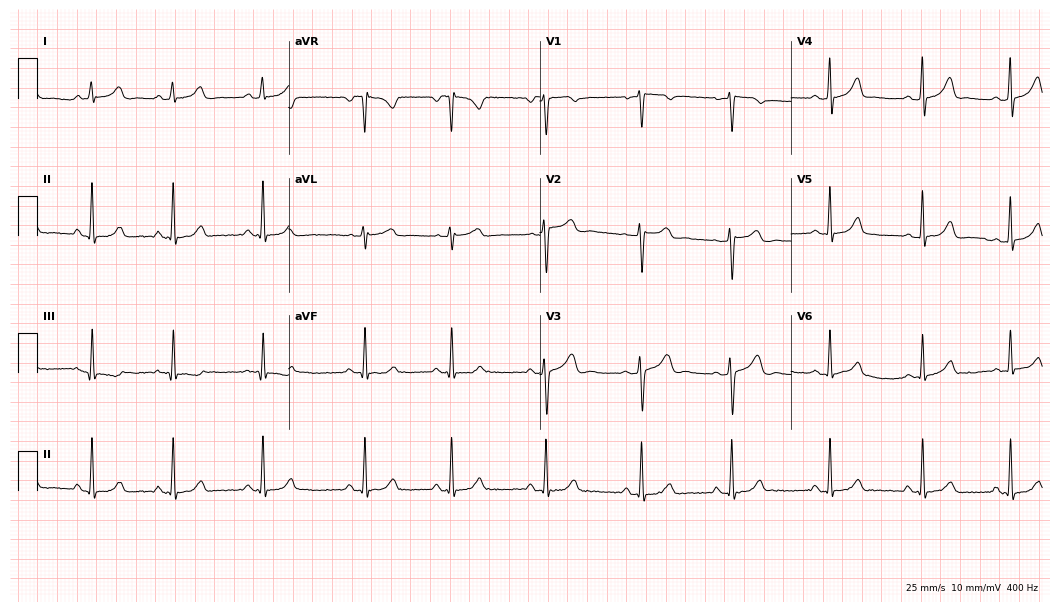
12-lead ECG (10.2-second recording at 400 Hz) from a 29-year-old female. Labelled as a normal ECG.